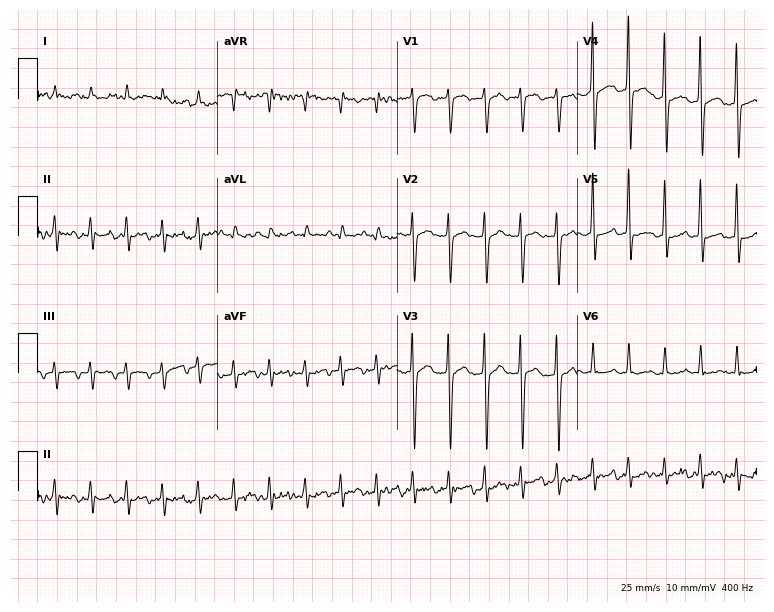
Resting 12-lead electrocardiogram (7.3-second recording at 400 Hz). Patient: an 83-year-old female. None of these six findings is recorded: first-degree AV block, right bundle branch block, left bundle branch block, sinus bradycardia, atrial fibrillation, sinus tachycardia. Findings outside these six are not listed.